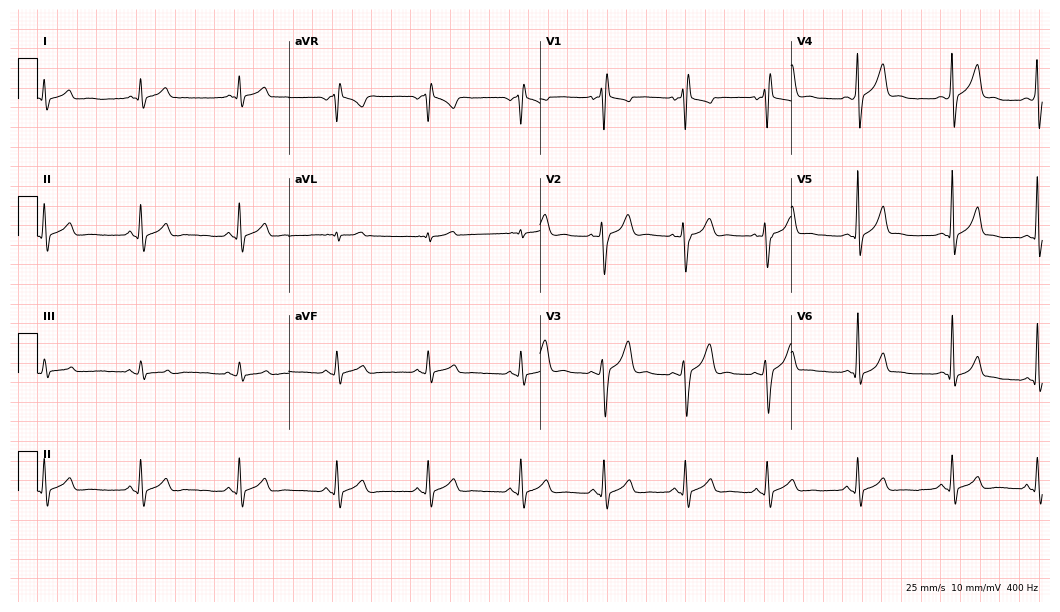
12-lead ECG from an 18-year-old male patient. No first-degree AV block, right bundle branch block, left bundle branch block, sinus bradycardia, atrial fibrillation or sinus tachycardia recorded for this tracing. Findings outside these six are not listed.